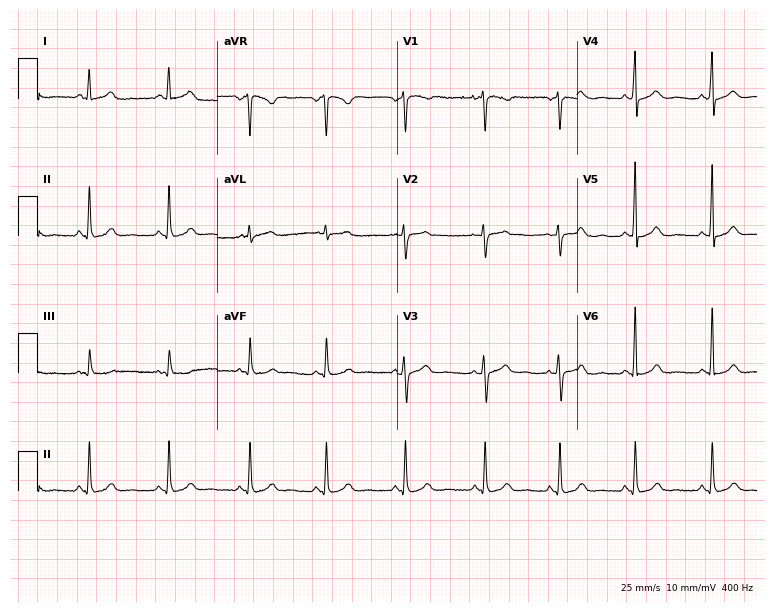
Standard 12-lead ECG recorded from a 38-year-old female (7.3-second recording at 400 Hz). None of these six findings is recorded: first-degree AV block, right bundle branch block, left bundle branch block, sinus bradycardia, atrial fibrillation, sinus tachycardia.